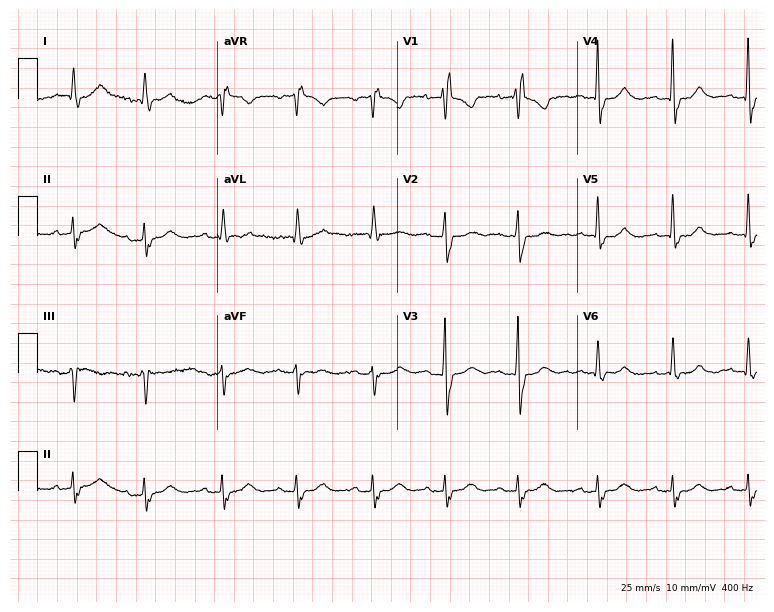
Standard 12-lead ECG recorded from a female patient, 72 years old (7.3-second recording at 400 Hz). The tracing shows right bundle branch block (RBBB).